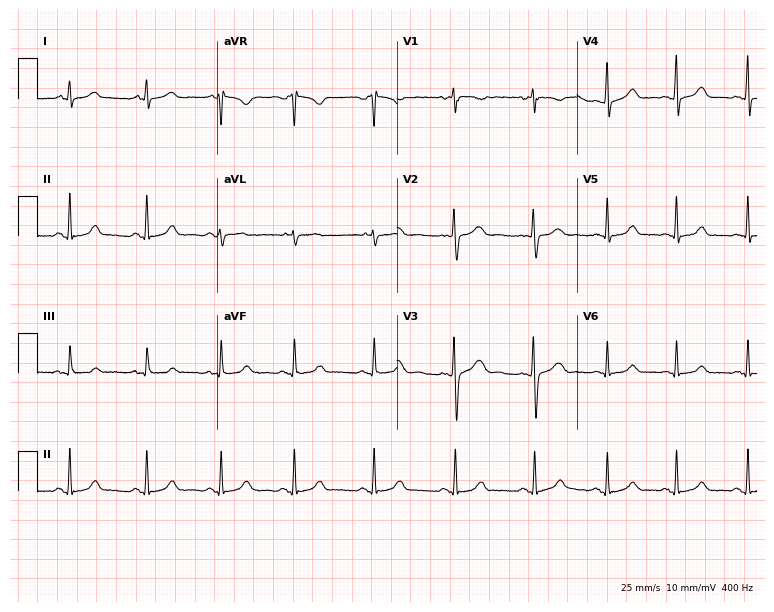
12-lead ECG from a female patient, 19 years old. Recorded interpretation: within normal limits.